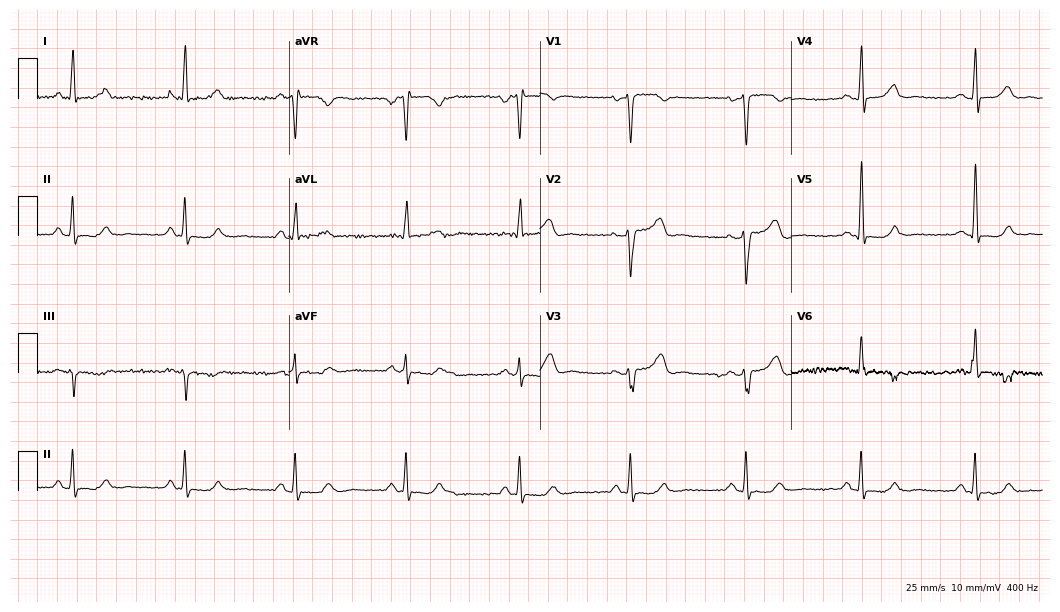
Standard 12-lead ECG recorded from a 43-year-old woman (10.2-second recording at 400 Hz). None of these six findings is recorded: first-degree AV block, right bundle branch block, left bundle branch block, sinus bradycardia, atrial fibrillation, sinus tachycardia.